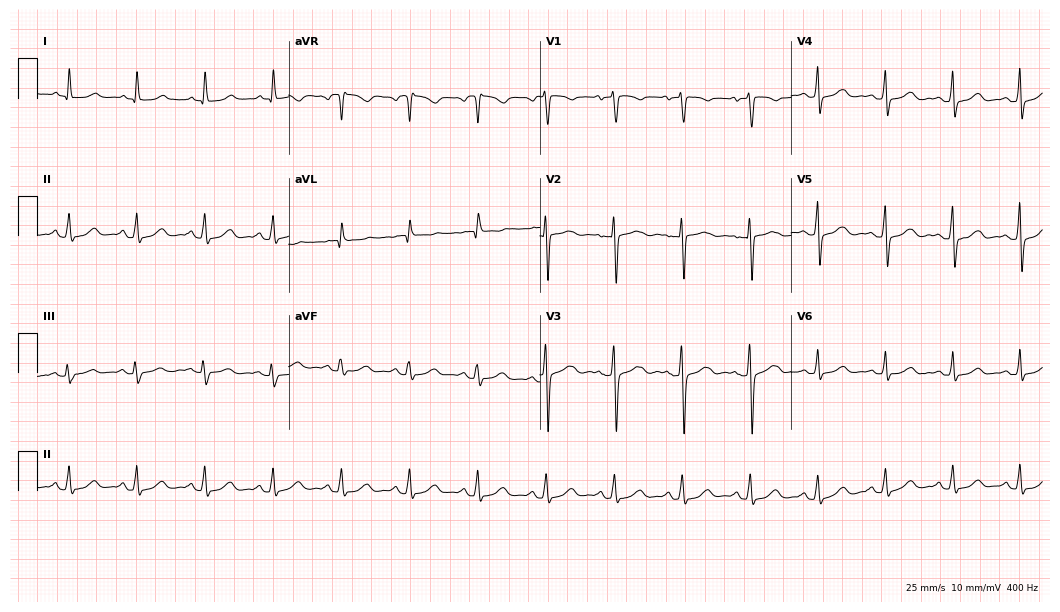
12-lead ECG from a 52-year-old female (10.2-second recording at 400 Hz). Recorded interpretation: within normal limits.